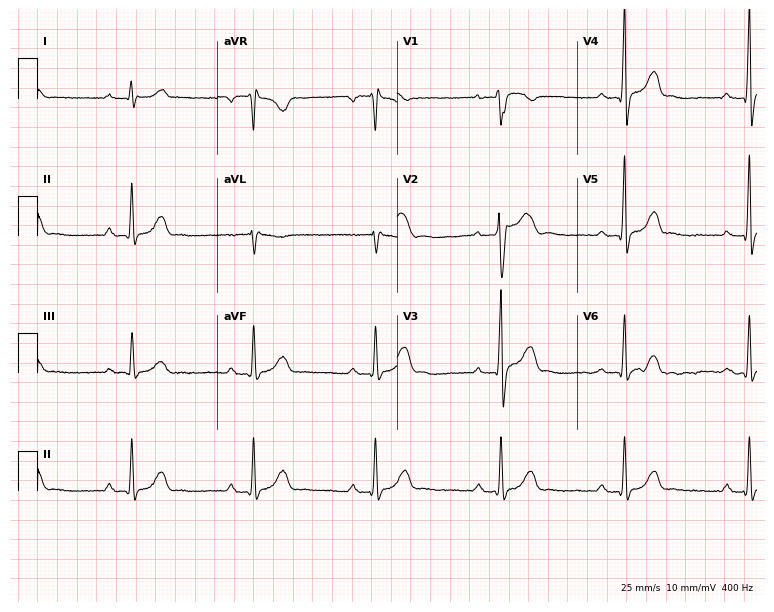
Electrocardiogram (7.3-second recording at 400 Hz), a man, 32 years old. Interpretation includes first-degree AV block, right bundle branch block.